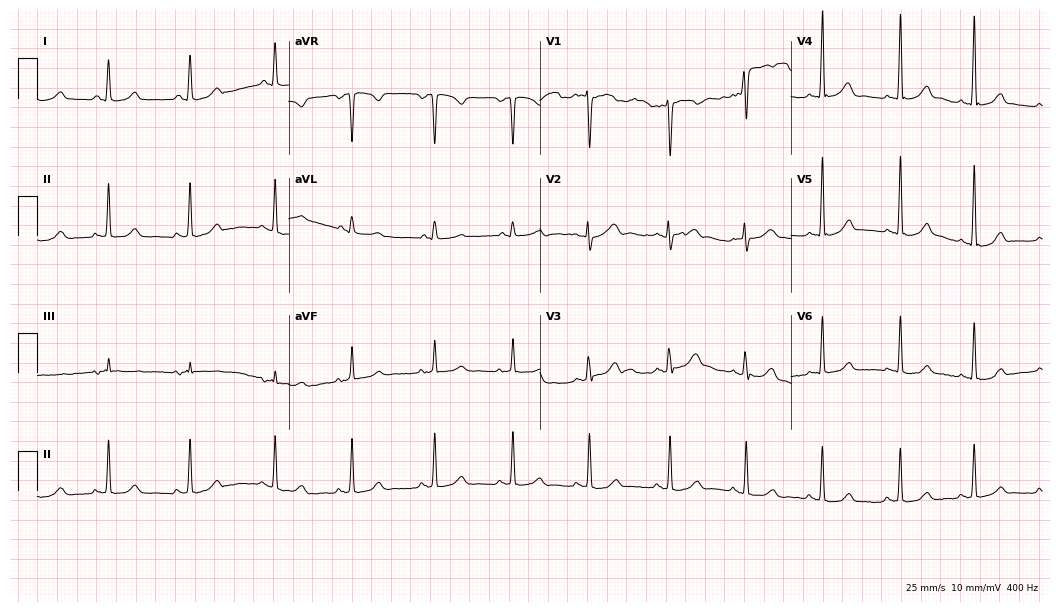
ECG — a 19-year-old female. Labelled as a normal ECG.